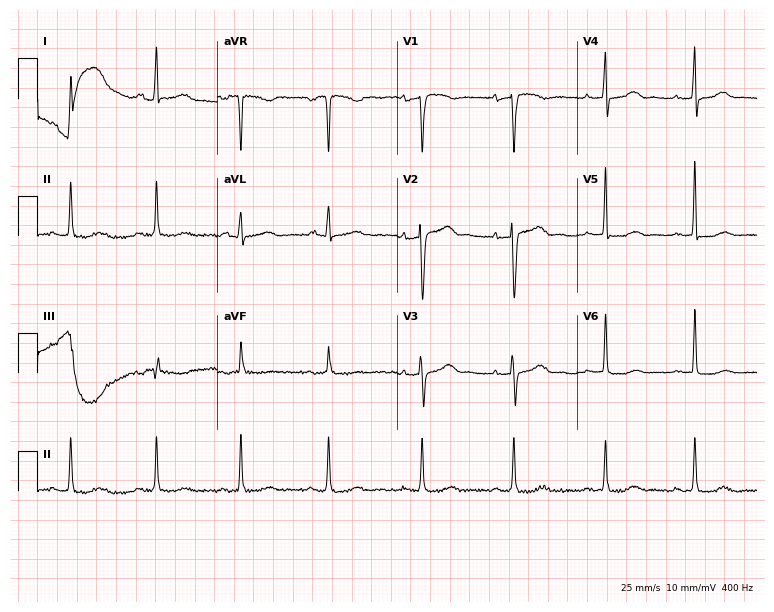
12-lead ECG from a 59-year-old woman. No first-degree AV block, right bundle branch block (RBBB), left bundle branch block (LBBB), sinus bradycardia, atrial fibrillation (AF) or sinus tachycardia recorded for this tracing. Findings outside these six are not listed.